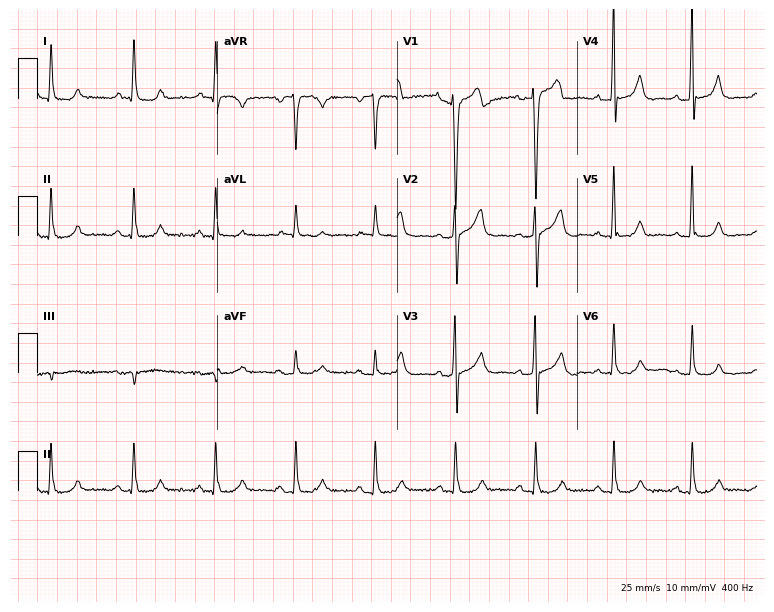
ECG (7.3-second recording at 400 Hz) — a 54-year-old male patient. Labelled as a normal ECG.